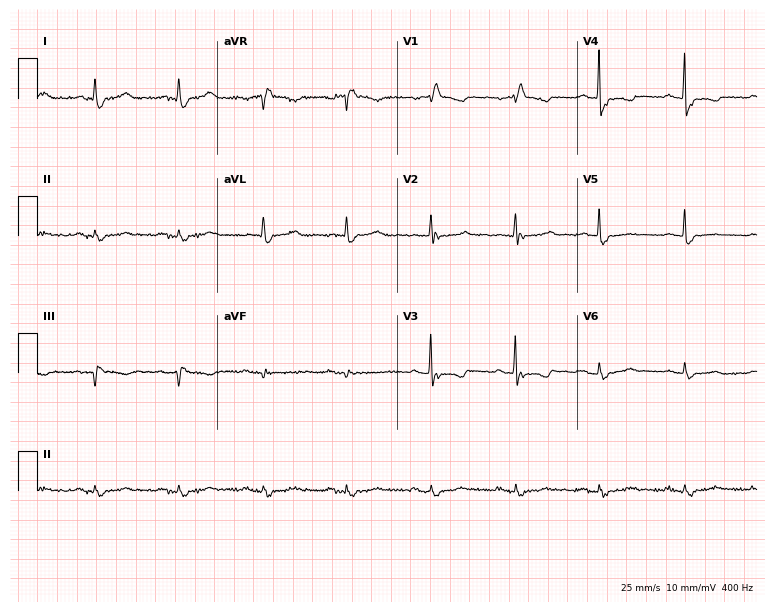
Standard 12-lead ECG recorded from a female patient, 85 years old (7.3-second recording at 400 Hz). The tracing shows right bundle branch block.